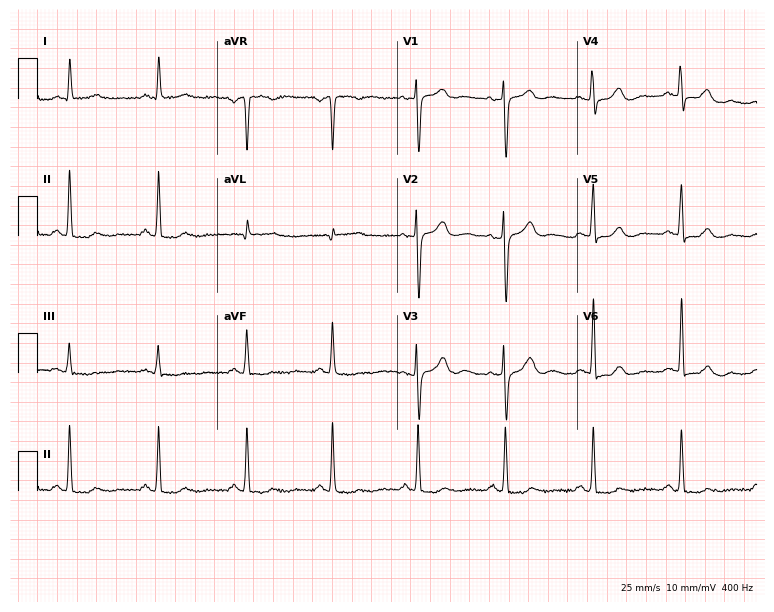
Electrocardiogram (7.3-second recording at 400 Hz), a female patient, 70 years old. Overall reading on record: normal ECG.